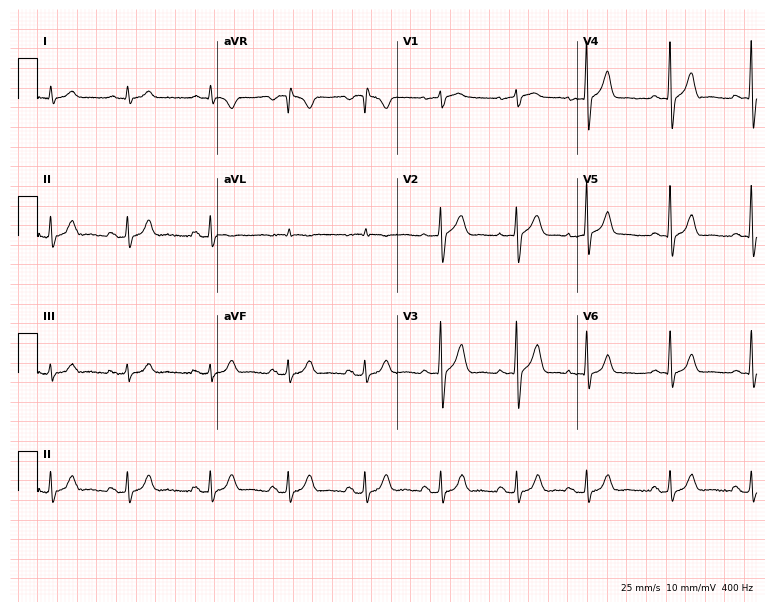
ECG — a 78-year-old male patient. Screened for six findings — first-degree AV block, right bundle branch block, left bundle branch block, sinus bradycardia, atrial fibrillation, sinus tachycardia — none is recorded.